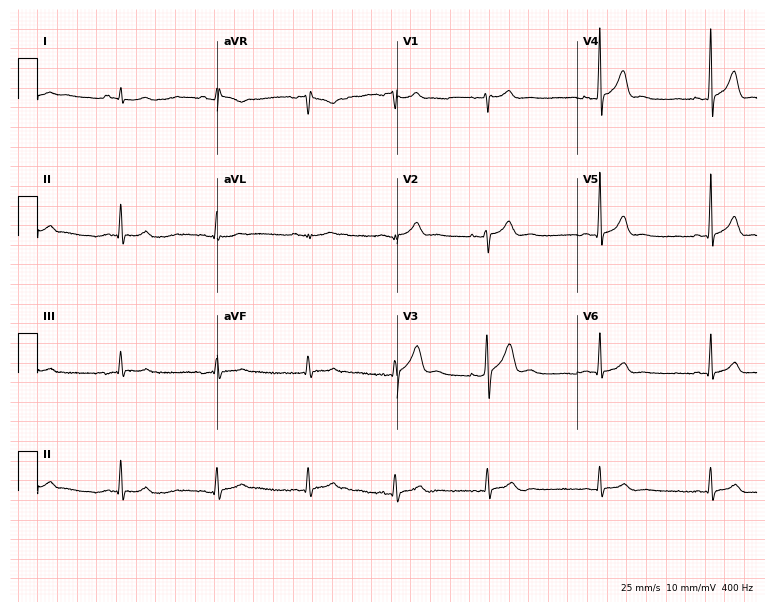
Standard 12-lead ECG recorded from a 36-year-old male patient (7.3-second recording at 400 Hz). Read as a normal ECG.